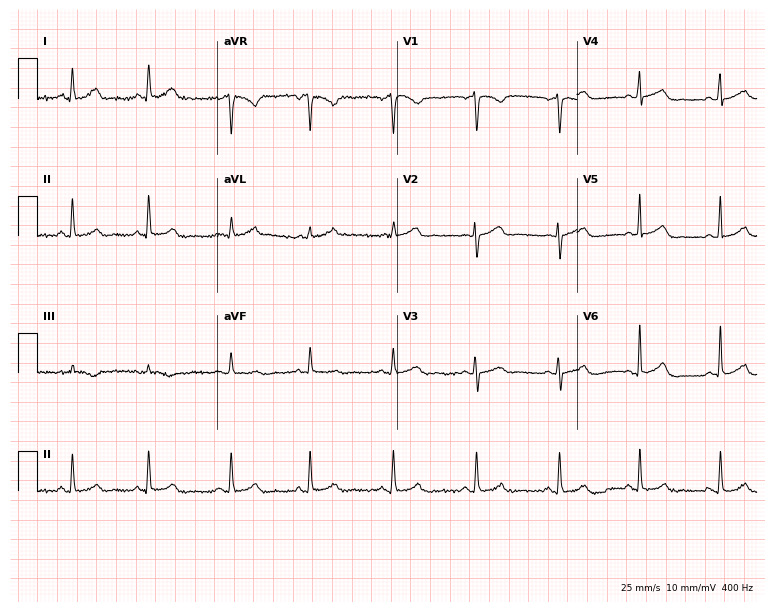
Resting 12-lead electrocardiogram. Patient: a 45-year-old female. None of these six findings is recorded: first-degree AV block, right bundle branch block, left bundle branch block, sinus bradycardia, atrial fibrillation, sinus tachycardia.